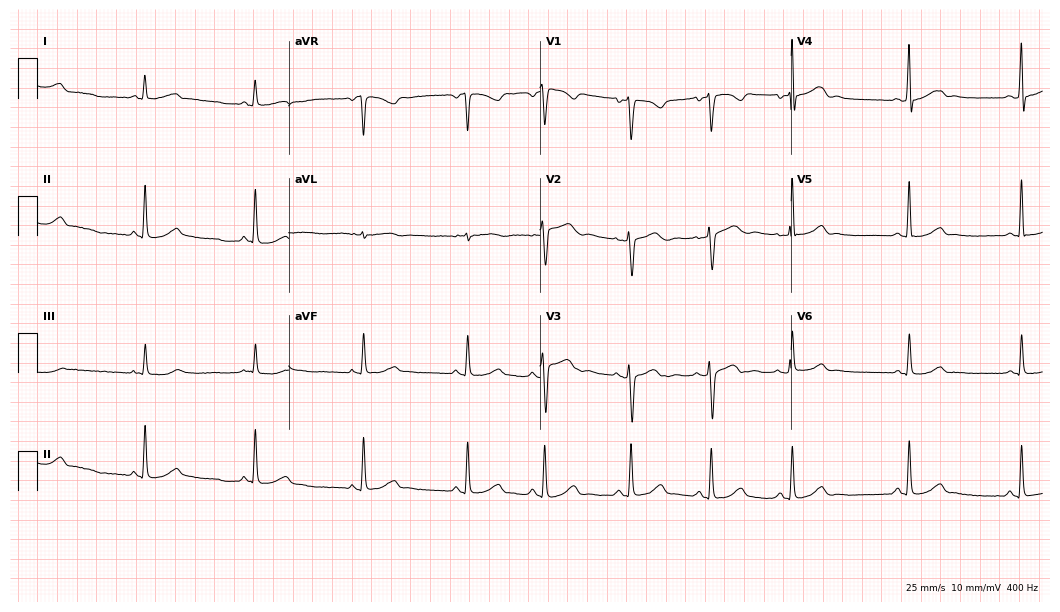
Resting 12-lead electrocardiogram. Patient: a female, 30 years old. None of these six findings is recorded: first-degree AV block, right bundle branch block, left bundle branch block, sinus bradycardia, atrial fibrillation, sinus tachycardia. Findings outside these six are not listed.